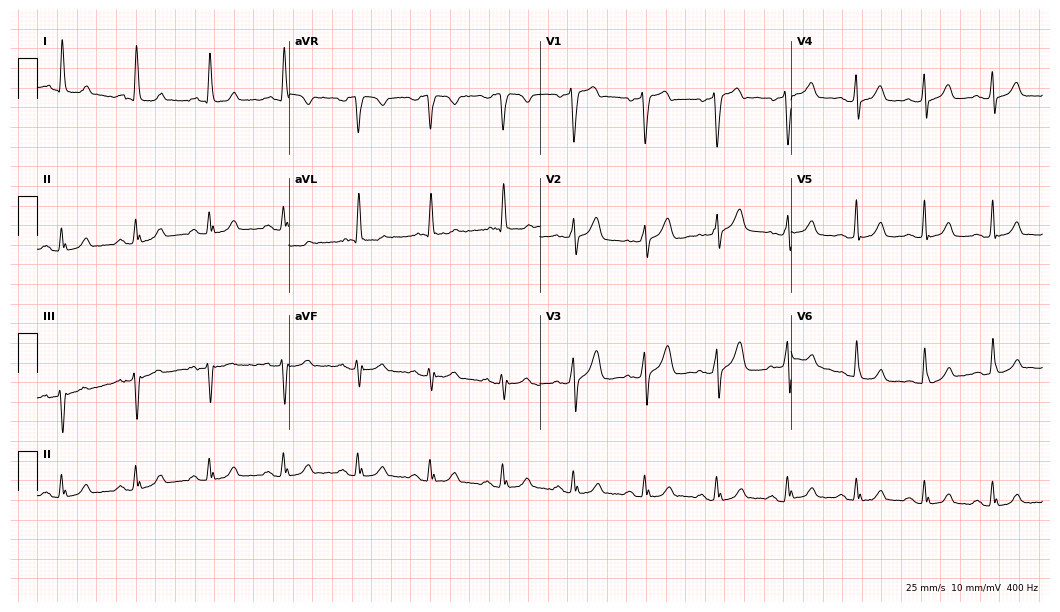
ECG (10.2-second recording at 400 Hz) — a 64-year-old female. Labelled as a normal ECG.